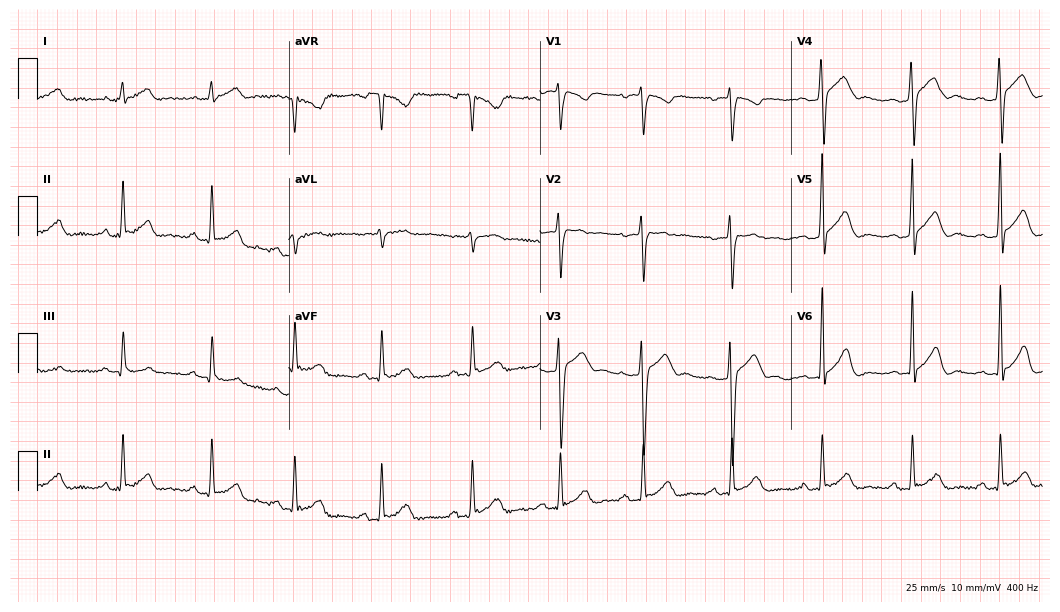
Electrocardiogram (10.2-second recording at 400 Hz), a male patient, 27 years old. Of the six screened findings (first-degree AV block, right bundle branch block (RBBB), left bundle branch block (LBBB), sinus bradycardia, atrial fibrillation (AF), sinus tachycardia), none is recorded. Findings outside these six are not listed.